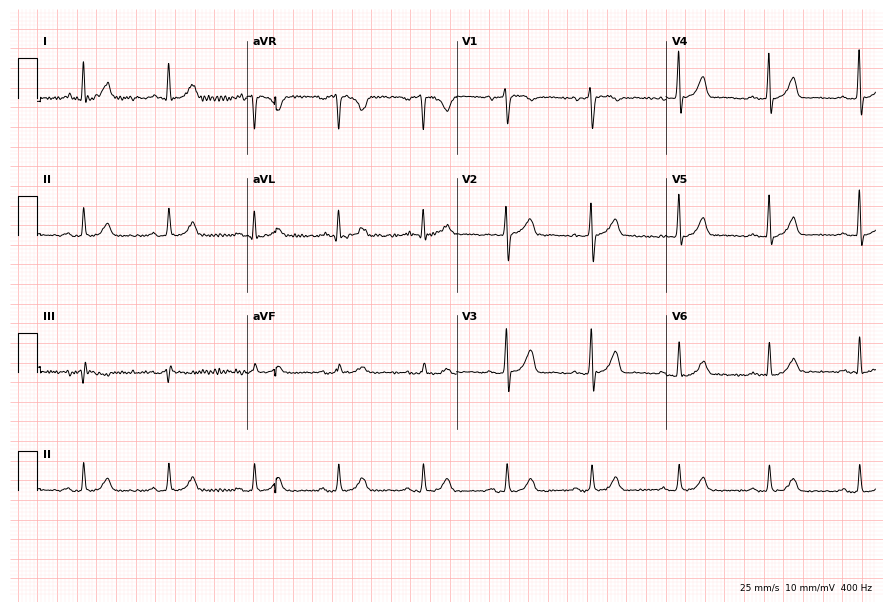
12-lead ECG (8.5-second recording at 400 Hz) from a man, 56 years old. Labelled as a normal ECG.